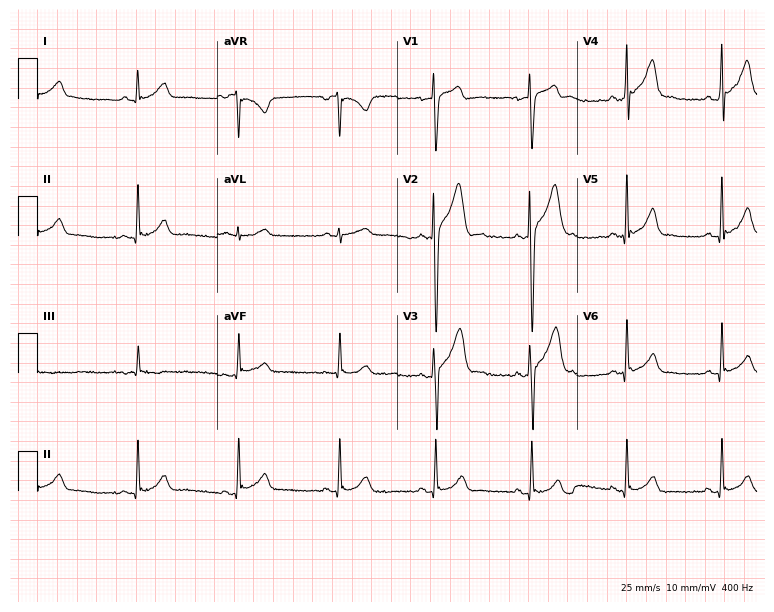
Electrocardiogram (7.3-second recording at 400 Hz), a 27-year-old male patient. Overall reading on record: normal ECG.